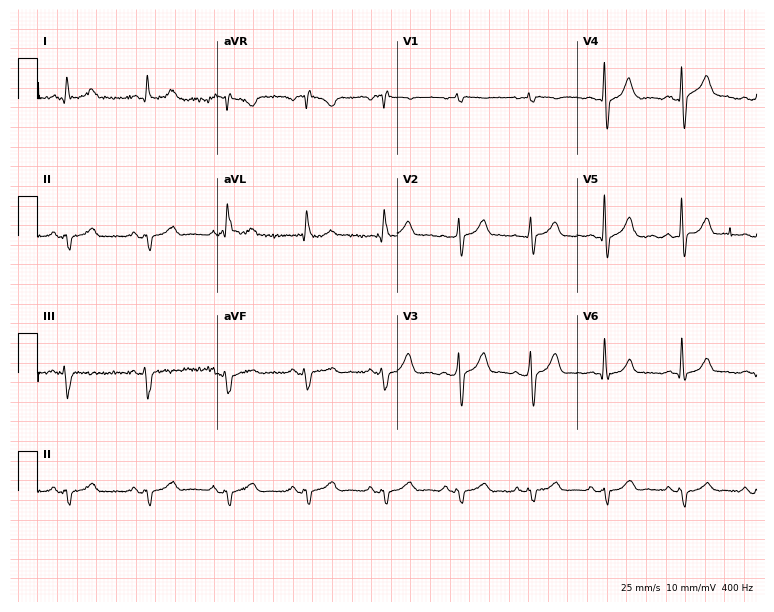
Resting 12-lead electrocardiogram (7.3-second recording at 400 Hz). Patient: a man, 76 years old. None of these six findings is recorded: first-degree AV block, right bundle branch block, left bundle branch block, sinus bradycardia, atrial fibrillation, sinus tachycardia.